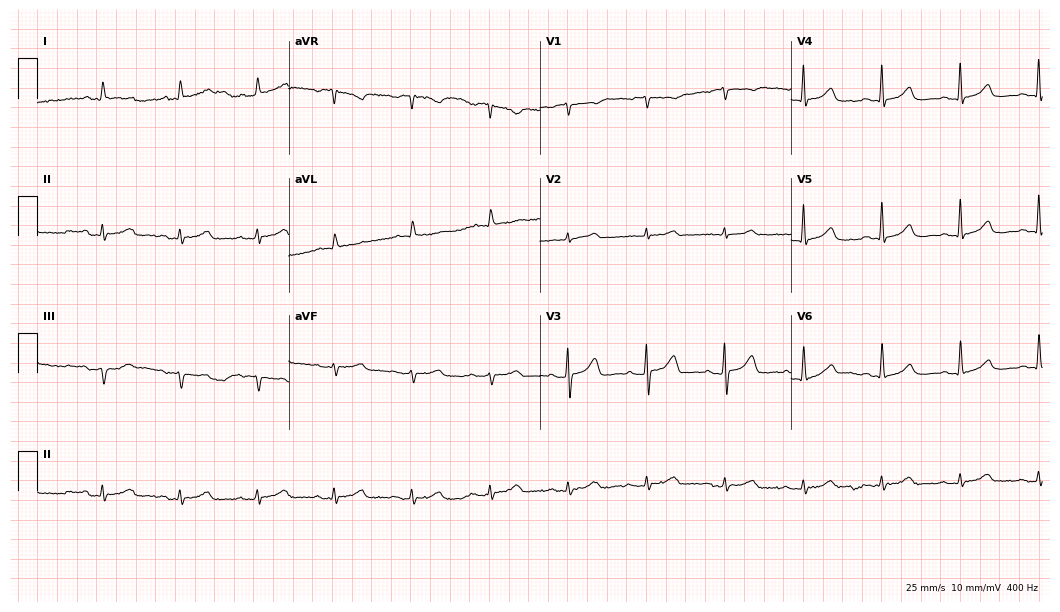
Standard 12-lead ECG recorded from an 80-year-old male patient. Read as a normal ECG.